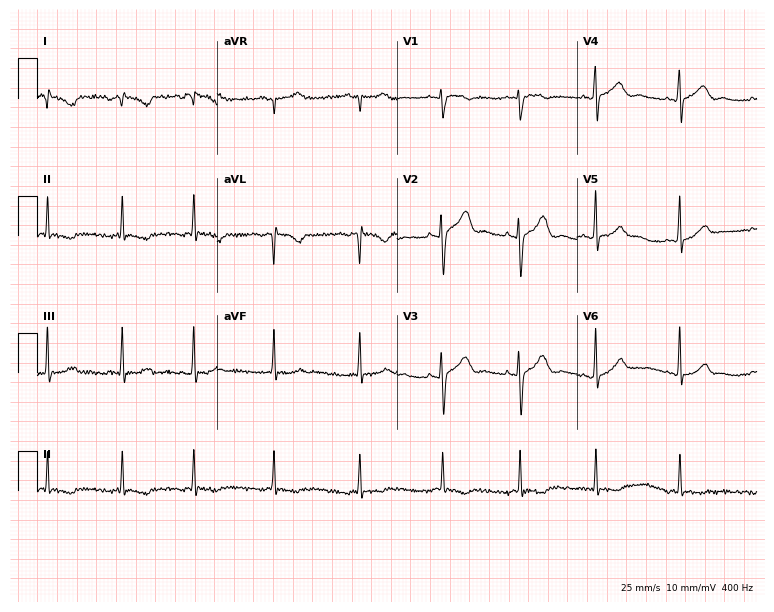
Resting 12-lead electrocardiogram (7.3-second recording at 400 Hz). Patient: a 20-year-old female. Read as a normal ECG.